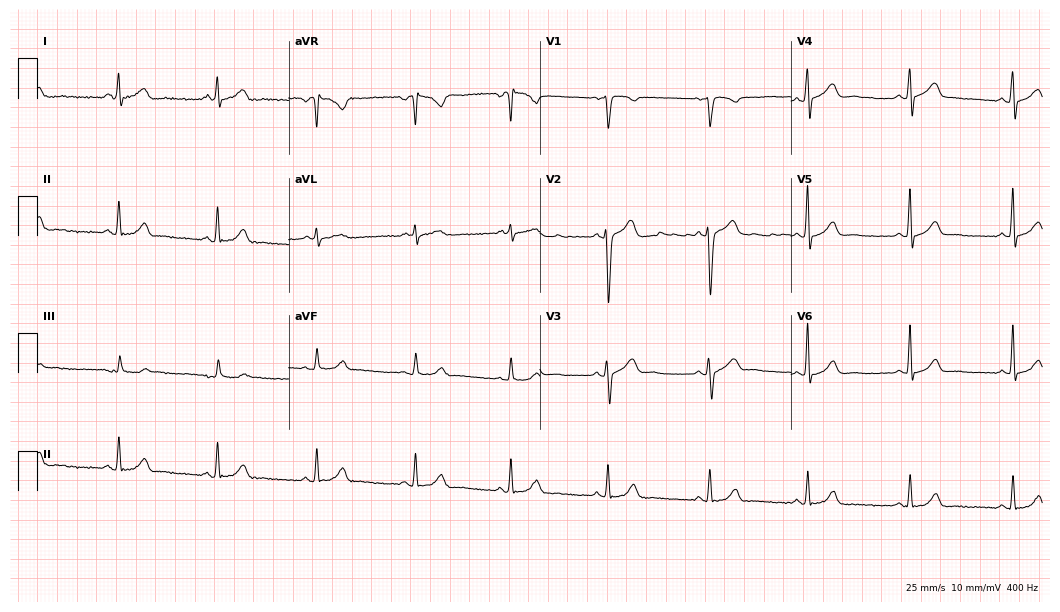
12-lead ECG (10.2-second recording at 400 Hz) from a 35-year-old man. Labelled as a normal ECG.